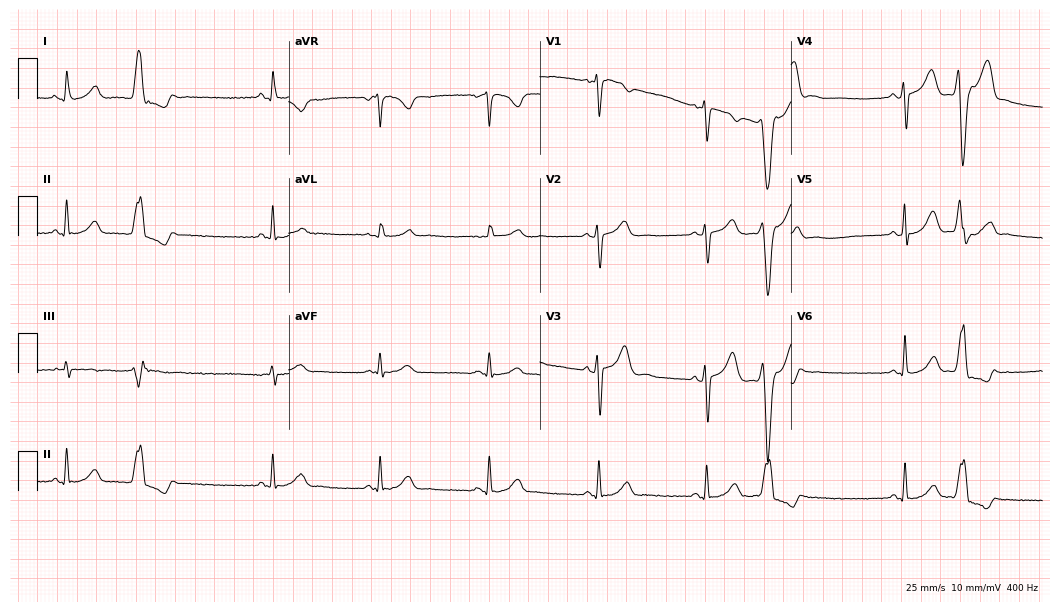
ECG (10.2-second recording at 400 Hz) — a man, 53 years old. Screened for six findings — first-degree AV block, right bundle branch block (RBBB), left bundle branch block (LBBB), sinus bradycardia, atrial fibrillation (AF), sinus tachycardia — none is recorded.